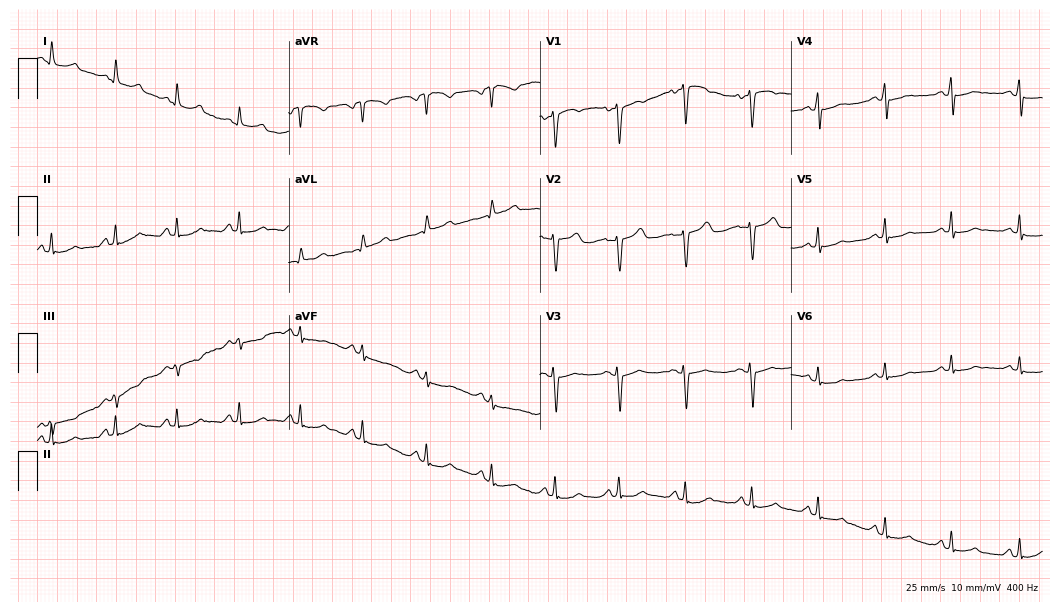
Standard 12-lead ECG recorded from a 38-year-old female (10.2-second recording at 400 Hz). Read as a normal ECG.